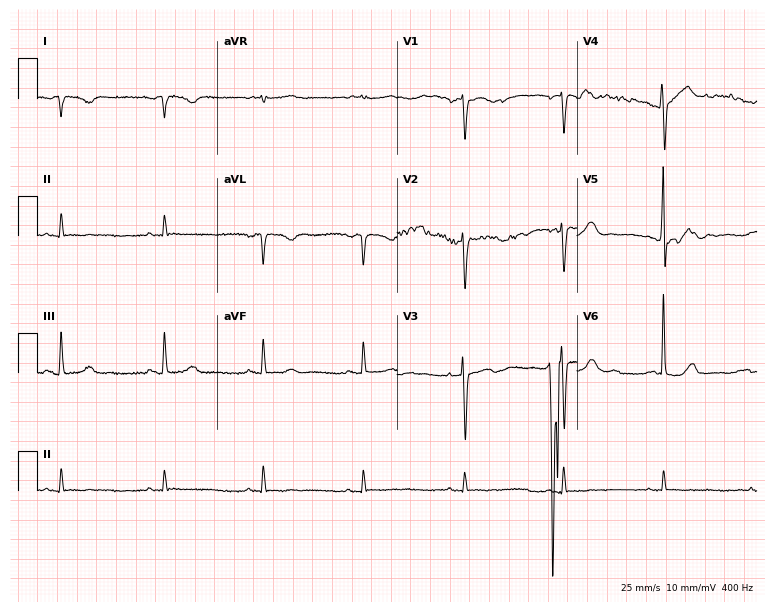
ECG — a female, 71 years old. Screened for six findings — first-degree AV block, right bundle branch block (RBBB), left bundle branch block (LBBB), sinus bradycardia, atrial fibrillation (AF), sinus tachycardia — none is recorded.